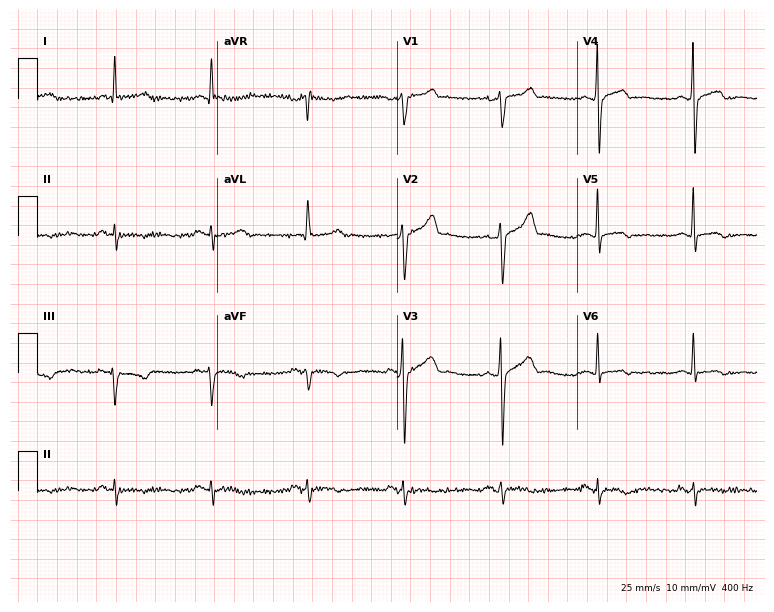
Electrocardiogram, a 60-year-old male. Of the six screened findings (first-degree AV block, right bundle branch block, left bundle branch block, sinus bradycardia, atrial fibrillation, sinus tachycardia), none is recorded.